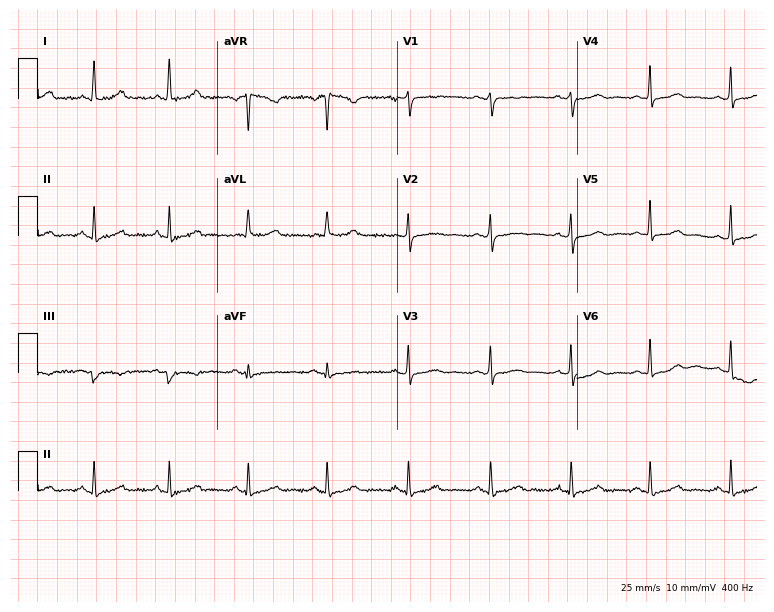
Electrocardiogram, a female, 33 years old. Overall reading on record: normal ECG.